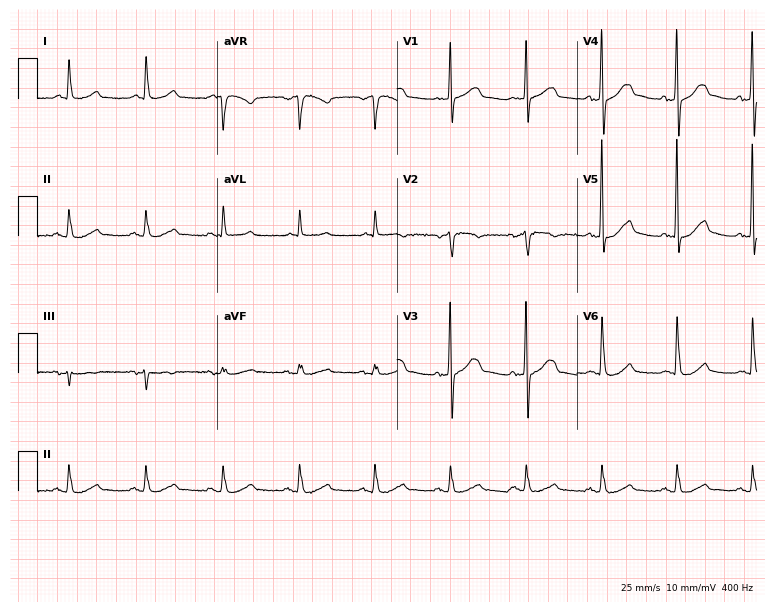
ECG (7.3-second recording at 400 Hz) — a man, 79 years old. Labelled as a normal ECG.